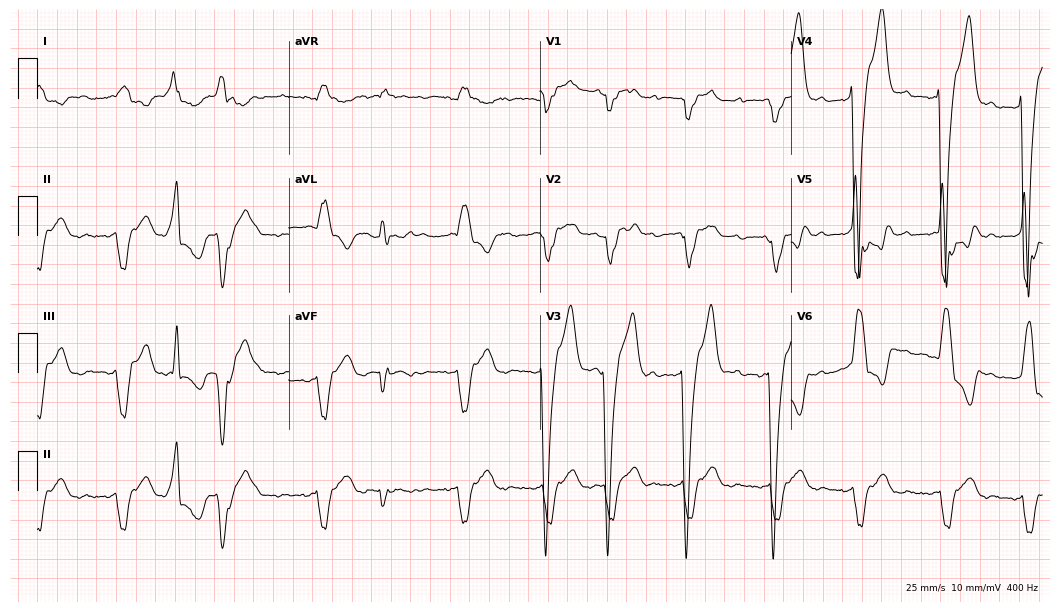
Resting 12-lead electrocardiogram. Patient: a 67-year-old man. None of these six findings is recorded: first-degree AV block, right bundle branch block, left bundle branch block, sinus bradycardia, atrial fibrillation, sinus tachycardia.